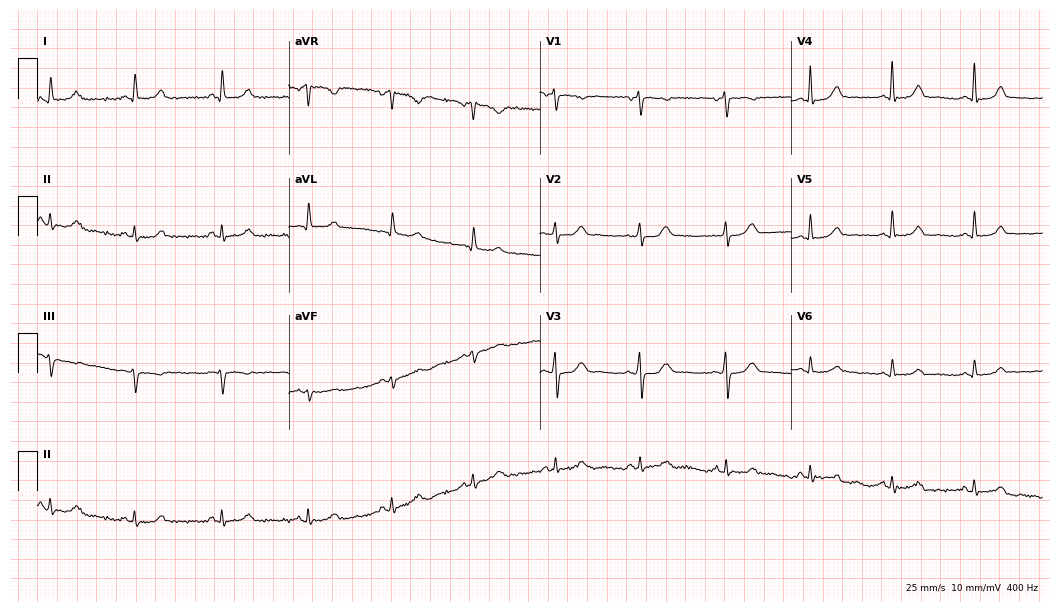
Standard 12-lead ECG recorded from a 53-year-old female patient. Read as a normal ECG.